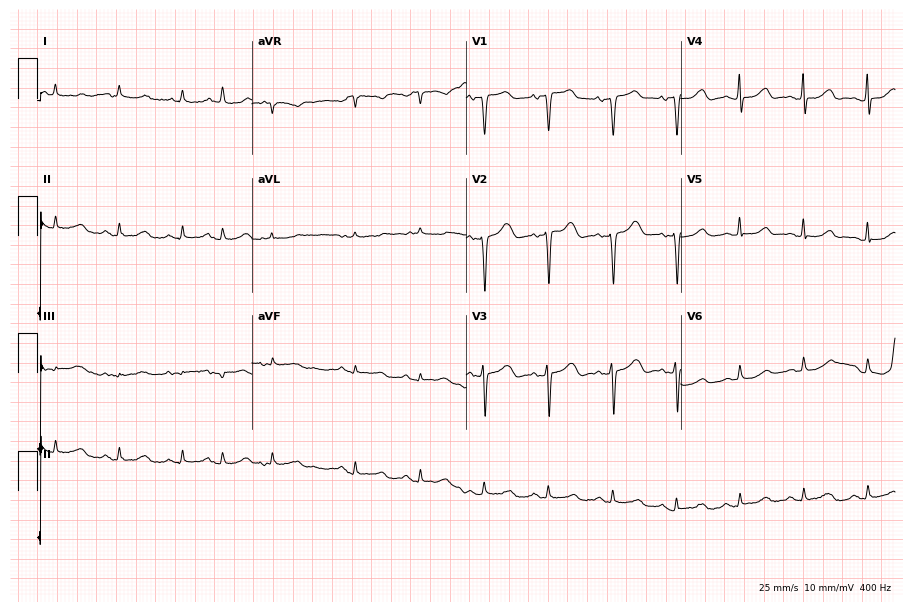
Resting 12-lead electrocardiogram (8.7-second recording at 400 Hz). Patient: a 78-year-old woman. None of these six findings is recorded: first-degree AV block, right bundle branch block, left bundle branch block, sinus bradycardia, atrial fibrillation, sinus tachycardia. Only these six findings were labelled.